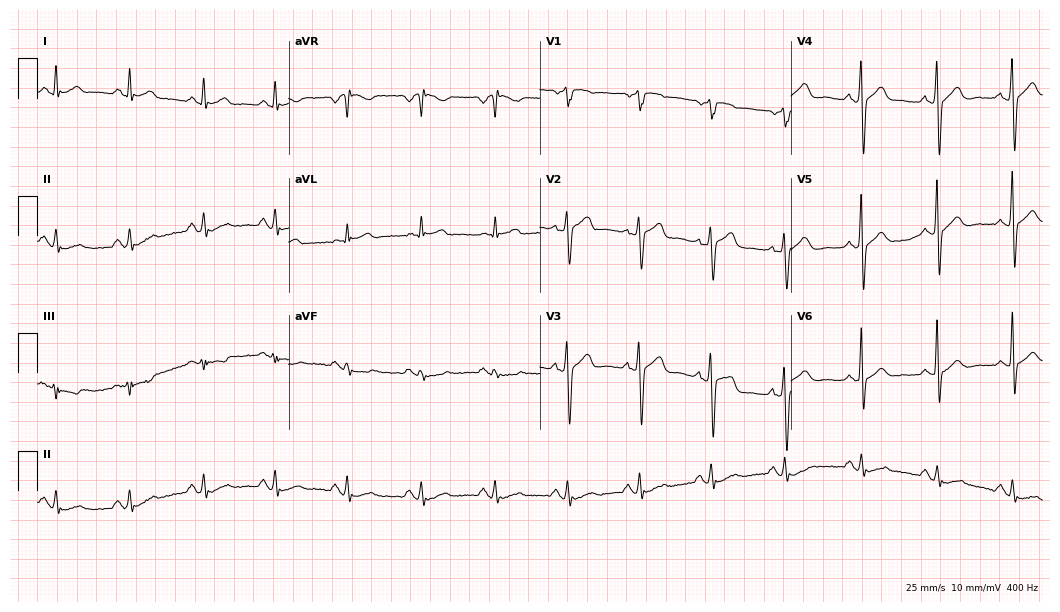
ECG — a 50-year-old man. Screened for six findings — first-degree AV block, right bundle branch block, left bundle branch block, sinus bradycardia, atrial fibrillation, sinus tachycardia — none is recorded. Only these six findings were labelled.